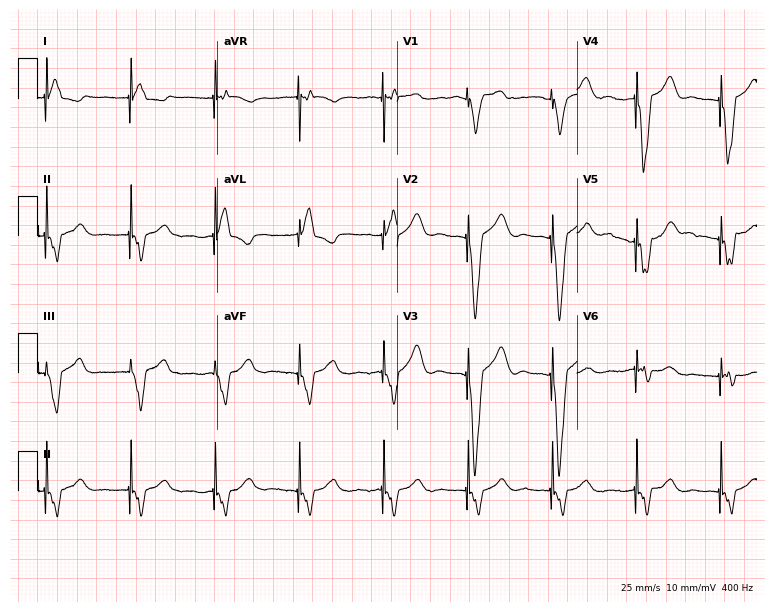
Standard 12-lead ECG recorded from a female, 71 years old (7.3-second recording at 400 Hz). None of these six findings is recorded: first-degree AV block, right bundle branch block, left bundle branch block, sinus bradycardia, atrial fibrillation, sinus tachycardia. Other findings, if any, are not listed.